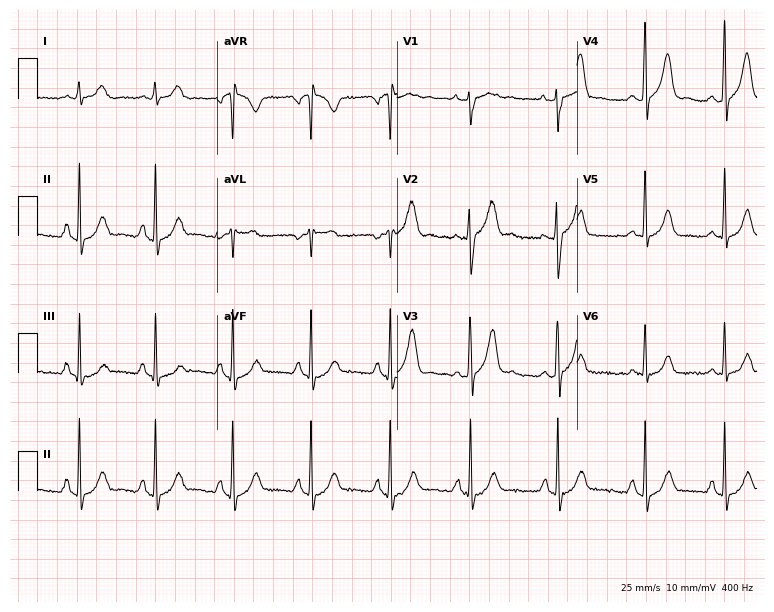
12-lead ECG from a 31-year-old male. Screened for six findings — first-degree AV block, right bundle branch block, left bundle branch block, sinus bradycardia, atrial fibrillation, sinus tachycardia — none is recorded.